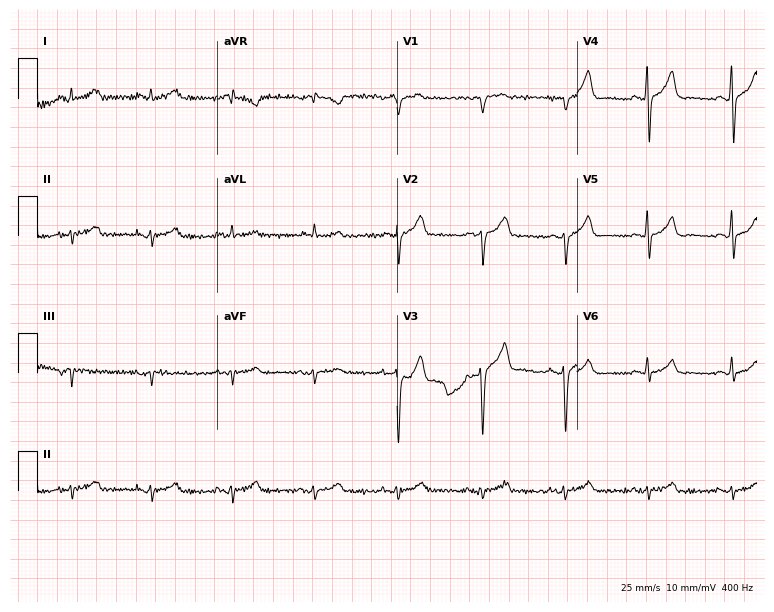
12-lead ECG from a male patient, 60 years old (7.3-second recording at 400 Hz). No first-degree AV block, right bundle branch block, left bundle branch block, sinus bradycardia, atrial fibrillation or sinus tachycardia recorded for this tracing.